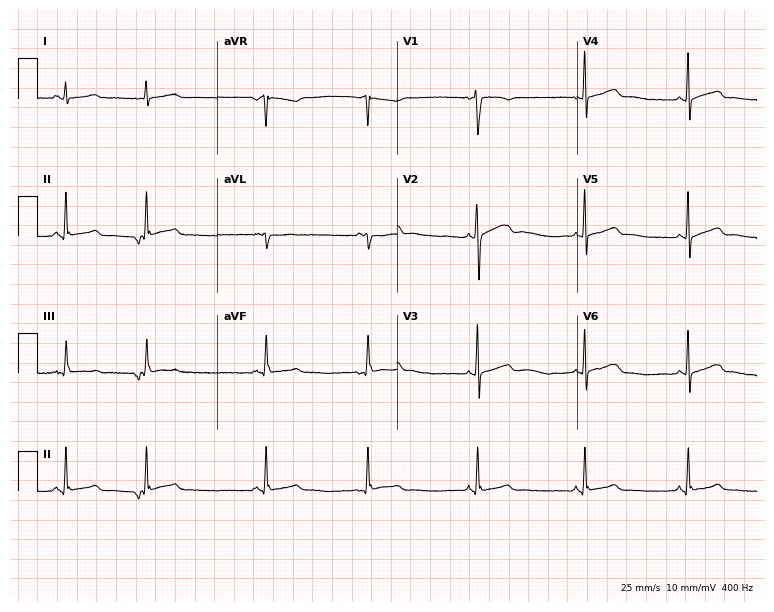
Standard 12-lead ECG recorded from an 18-year-old female (7.3-second recording at 400 Hz). None of these six findings is recorded: first-degree AV block, right bundle branch block, left bundle branch block, sinus bradycardia, atrial fibrillation, sinus tachycardia. Other findings, if any, are not listed.